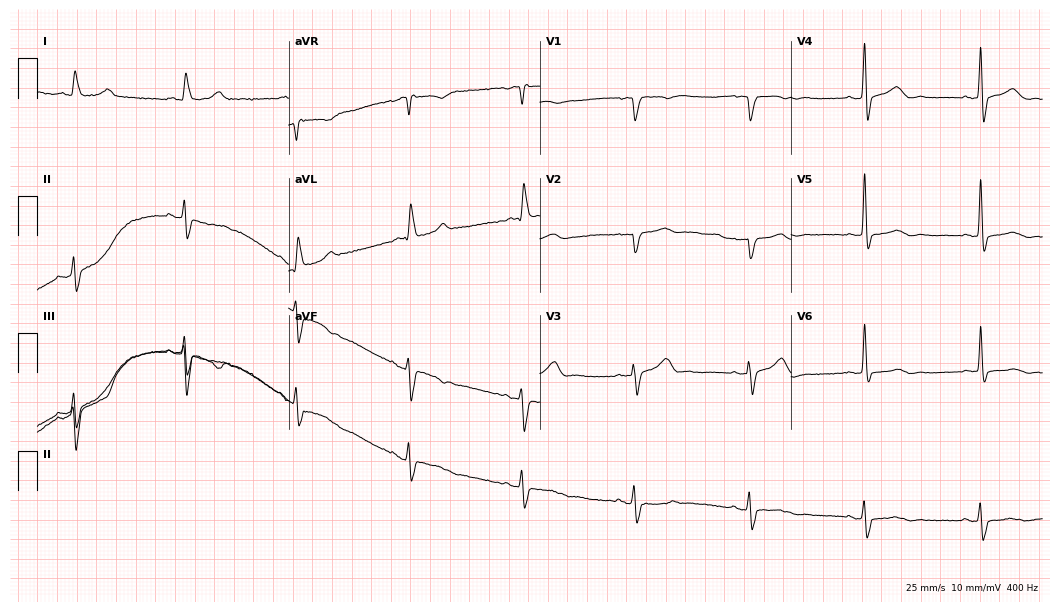
Electrocardiogram, a woman, 78 years old. Of the six screened findings (first-degree AV block, right bundle branch block, left bundle branch block, sinus bradycardia, atrial fibrillation, sinus tachycardia), none is recorded.